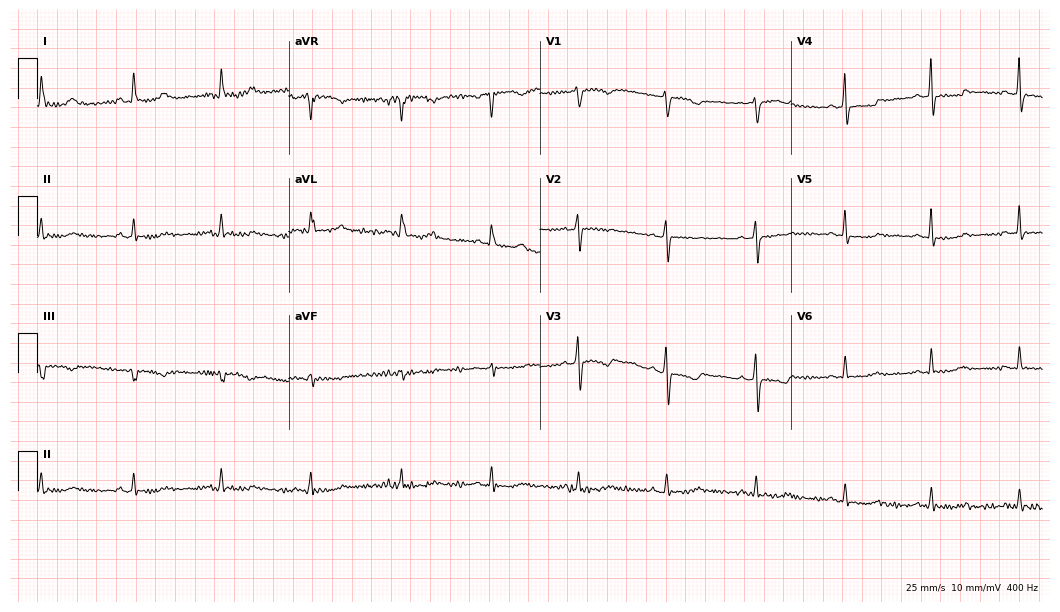
Electrocardiogram, a female patient, 52 years old. Of the six screened findings (first-degree AV block, right bundle branch block, left bundle branch block, sinus bradycardia, atrial fibrillation, sinus tachycardia), none is recorded. Only these six findings were labelled.